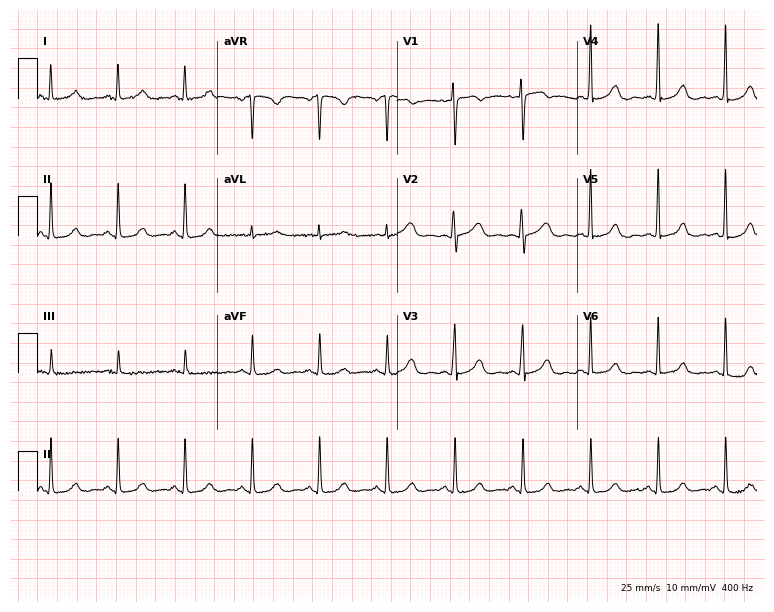
Resting 12-lead electrocardiogram. Patient: a 51-year-old female. Read as a normal ECG.